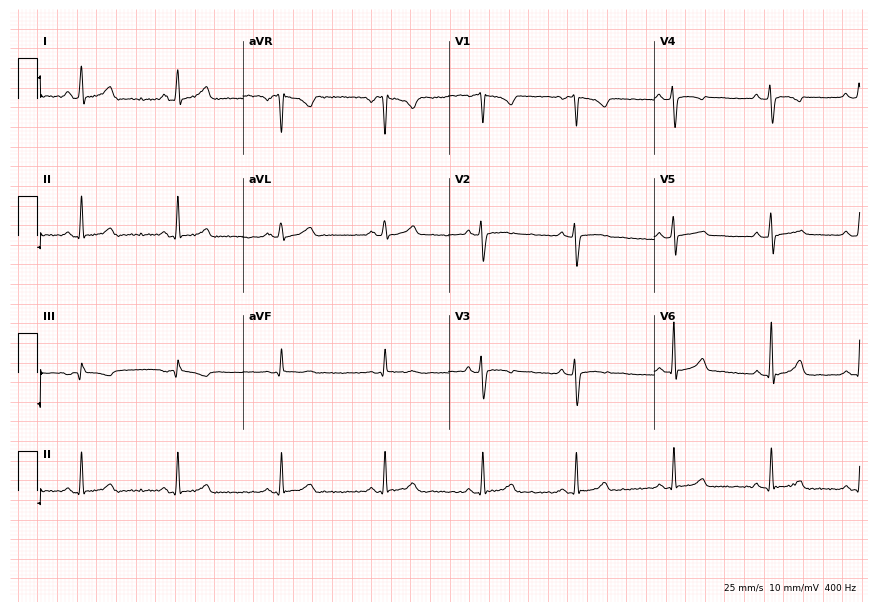
Resting 12-lead electrocardiogram (8.4-second recording at 400 Hz). Patient: a female, 18 years old. Read as a normal ECG.